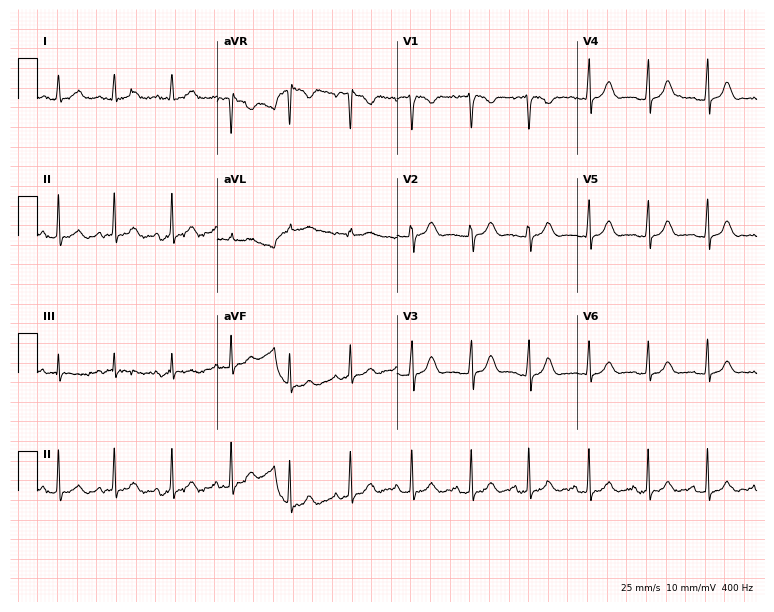
Electrocardiogram (7.3-second recording at 400 Hz), a 19-year-old female patient. Of the six screened findings (first-degree AV block, right bundle branch block, left bundle branch block, sinus bradycardia, atrial fibrillation, sinus tachycardia), none is recorded.